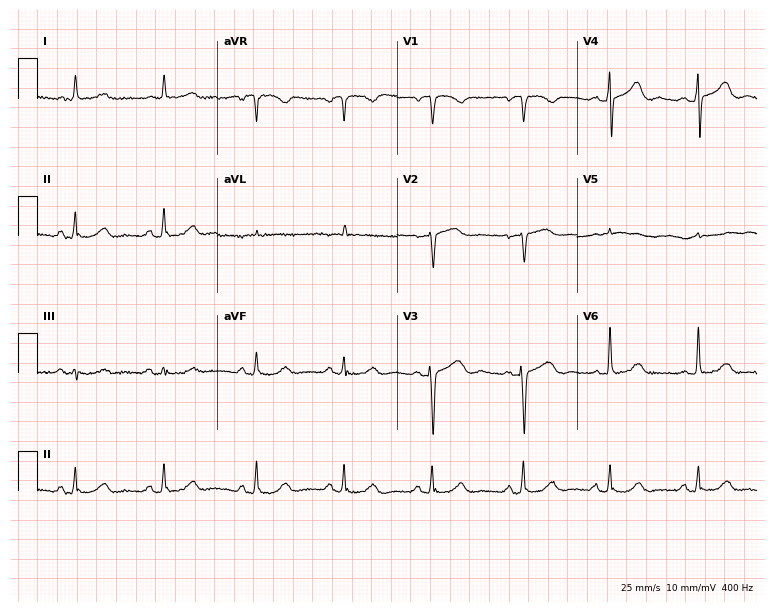
Standard 12-lead ECG recorded from a woman, 75 years old. None of these six findings is recorded: first-degree AV block, right bundle branch block, left bundle branch block, sinus bradycardia, atrial fibrillation, sinus tachycardia.